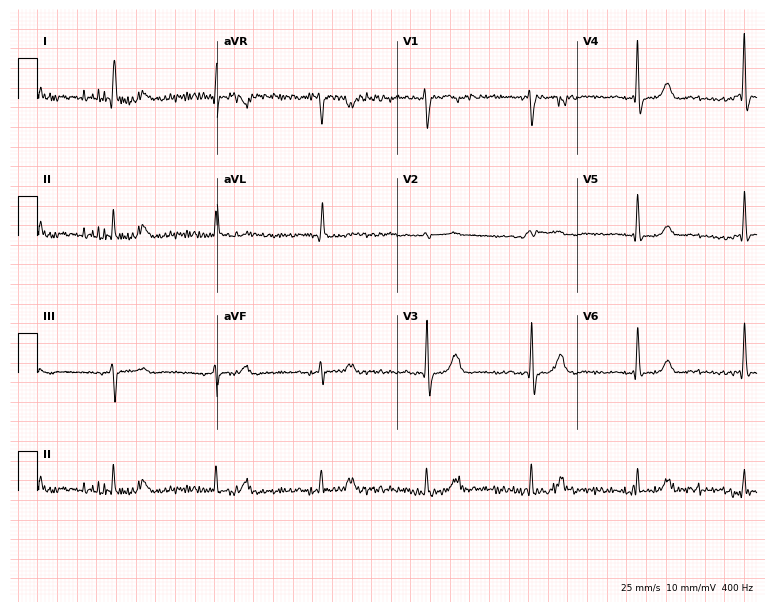
ECG (7.3-second recording at 400 Hz) — a 79-year-old male. Screened for six findings — first-degree AV block, right bundle branch block (RBBB), left bundle branch block (LBBB), sinus bradycardia, atrial fibrillation (AF), sinus tachycardia — none is recorded.